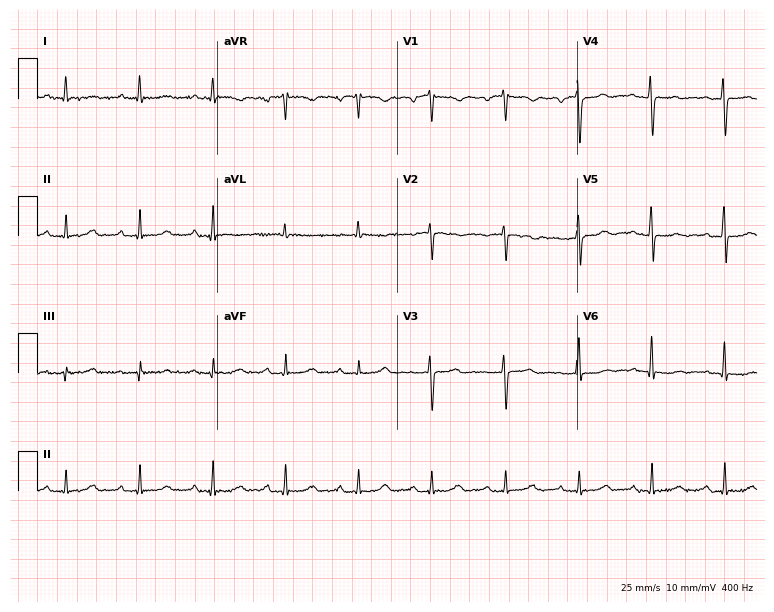
Electrocardiogram (7.3-second recording at 400 Hz), a female patient, 75 years old. Of the six screened findings (first-degree AV block, right bundle branch block, left bundle branch block, sinus bradycardia, atrial fibrillation, sinus tachycardia), none is recorded. Other findings, if any, are not listed.